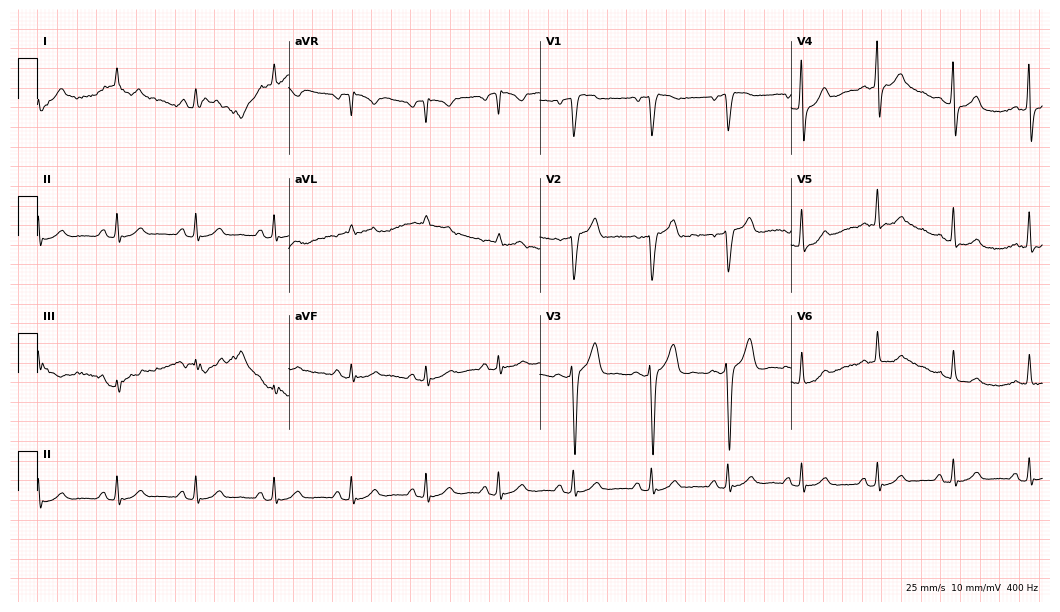
12-lead ECG from a male patient, 37 years old. No first-degree AV block, right bundle branch block (RBBB), left bundle branch block (LBBB), sinus bradycardia, atrial fibrillation (AF) or sinus tachycardia recorded for this tracing. Other findings, if any, are not listed.